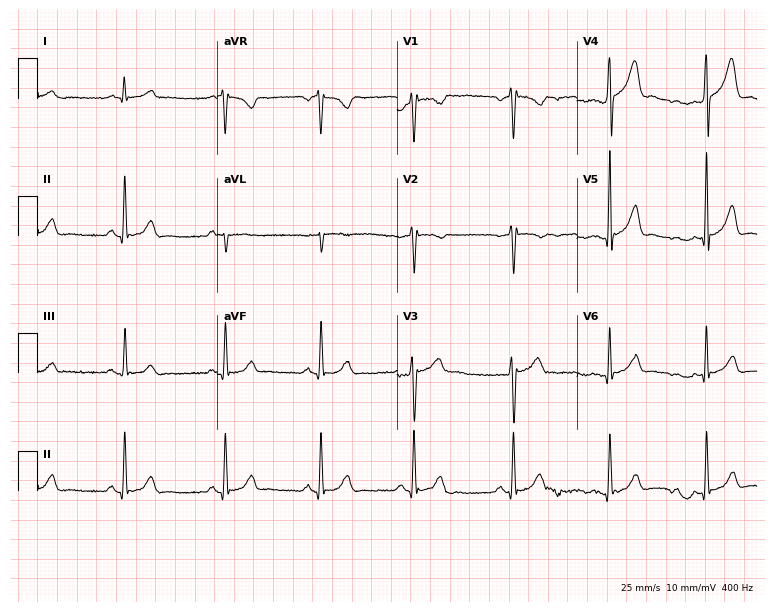
12-lead ECG from a 39-year-old man. Recorded interpretation: within normal limits.